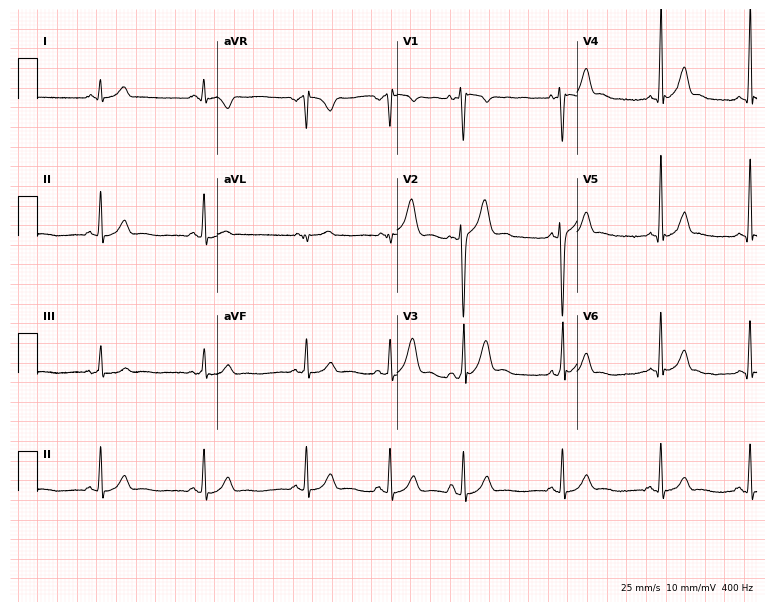
Electrocardiogram, a man, 30 years old. Overall reading on record: normal ECG.